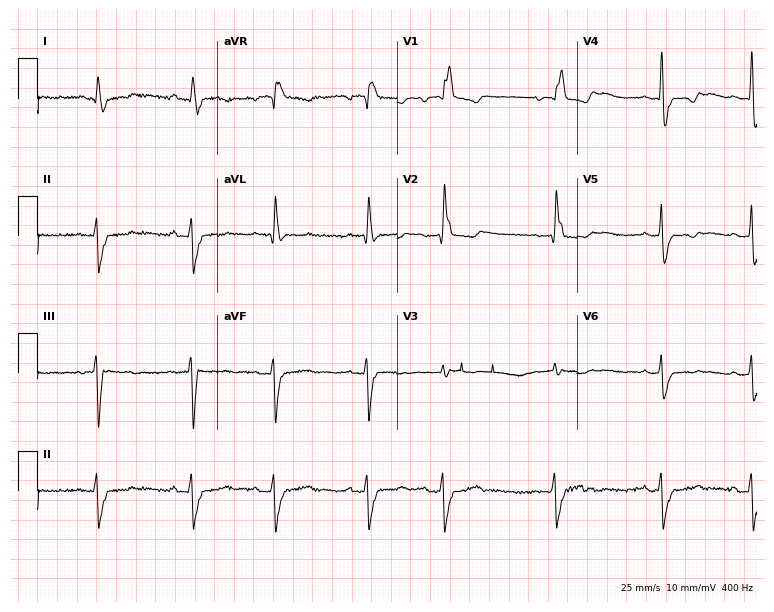
Resting 12-lead electrocardiogram (7.3-second recording at 400 Hz). Patient: a female, 73 years old. The tracing shows first-degree AV block, right bundle branch block.